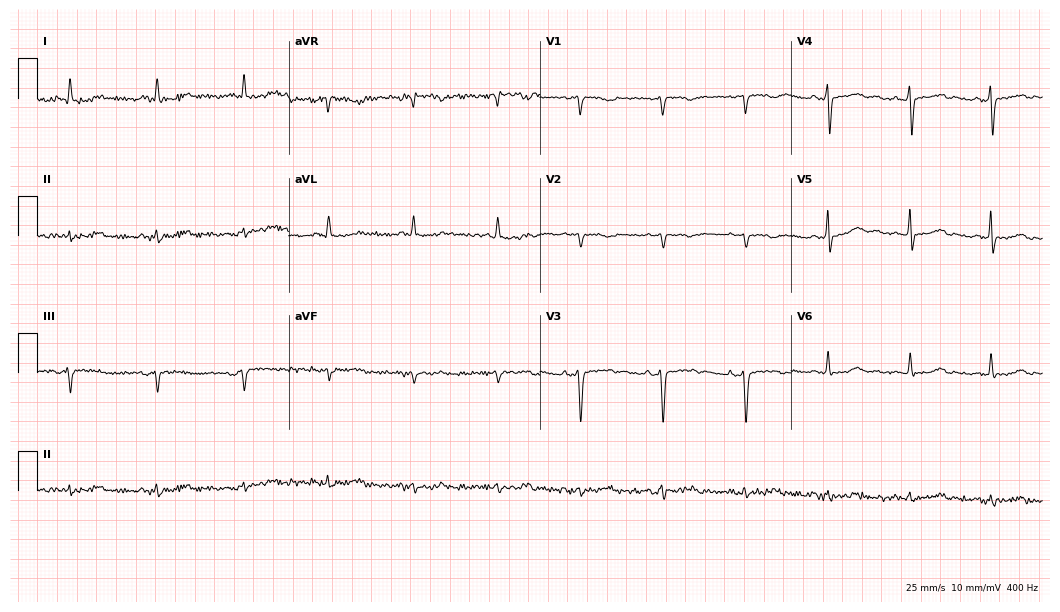
ECG (10.2-second recording at 400 Hz) — a 76-year-old female. Screened for six findings — first-degree AV block, right bundle branch block, left bundle branch block, sinus bradycardia, atrial fibrillation, sinus tachycardia — none is recorded. Other findings, if any, are not listed.